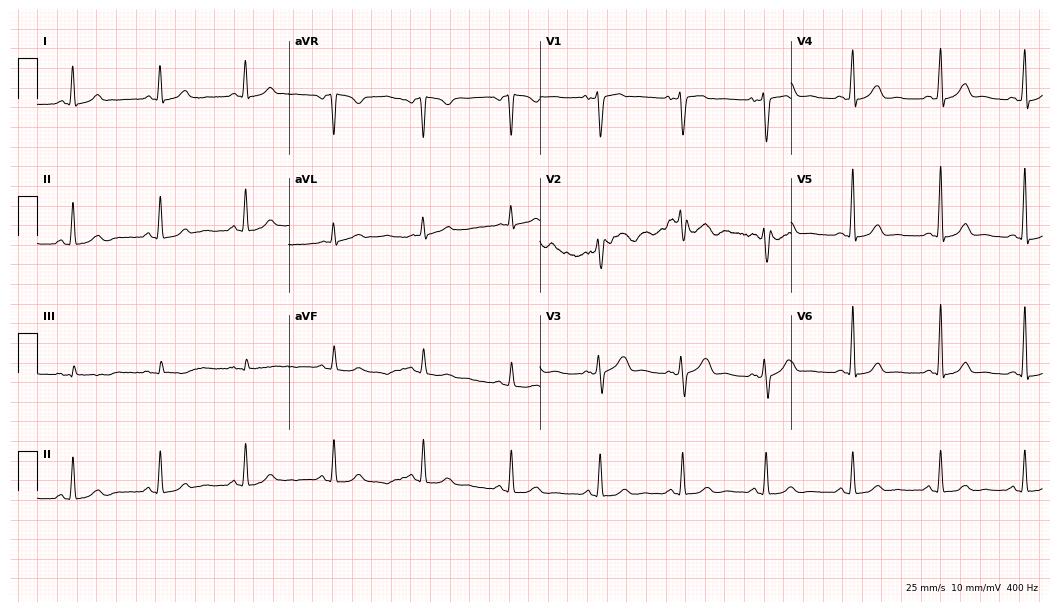
12-lead ECG from a female patient, 33 years old. Labelled as a normal ECG.